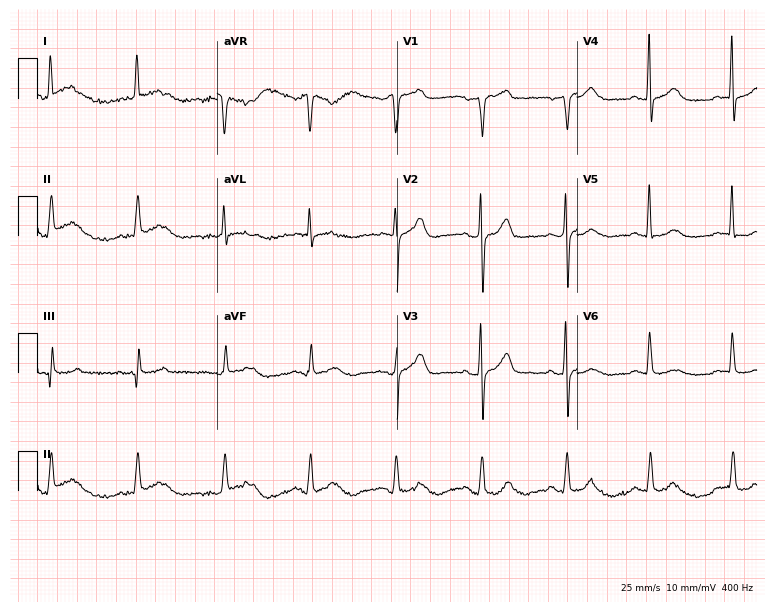
Resting 12-lead electrocardiogram. Patient: a man, 74 years old. Read as a normal ECG.